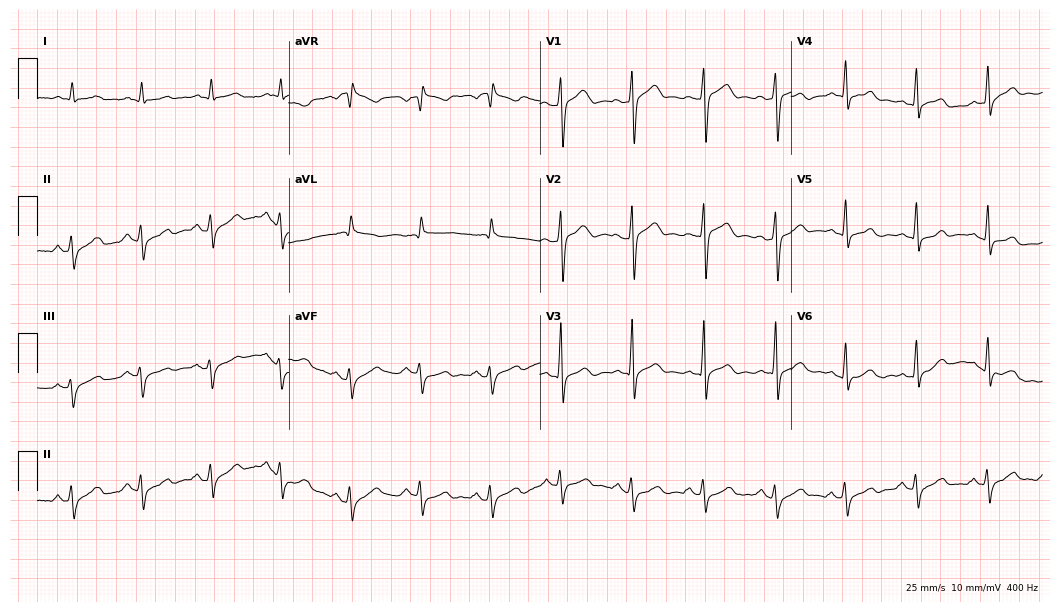
ECG (10.2-second recording at 400 Hz) — a 42-year-old male patient. Screened for six findings — first-degree AV block, right bundle branch block, left bundle branch block, sinus bradycardia, atrial fibrillation, sinus tachycardia — none is recorded.